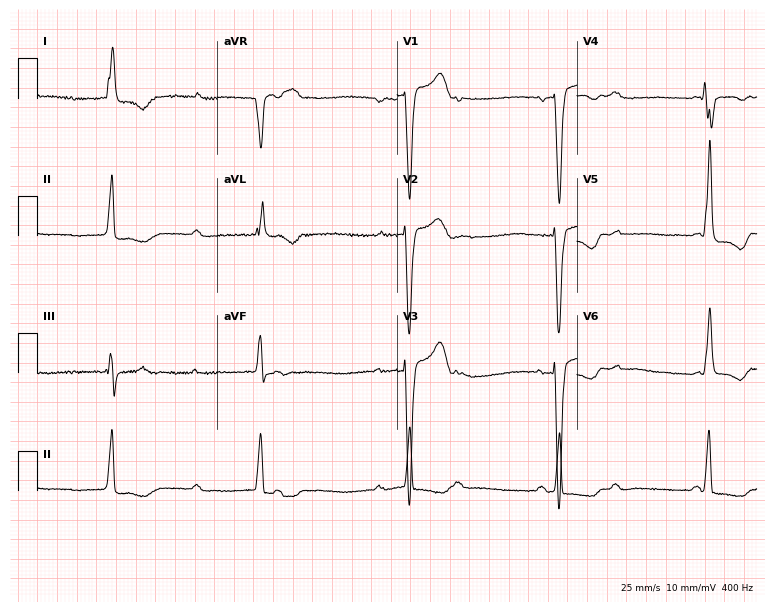
Electrocardiogram, a 69-year-old male. Of the six screened findings (first-degree AV block, right bundle branch block, left bundle branch block, sinus bradycardia, atrial fibrillation, sinus tachycardia), none is recorded. Only these six findings were labelled.